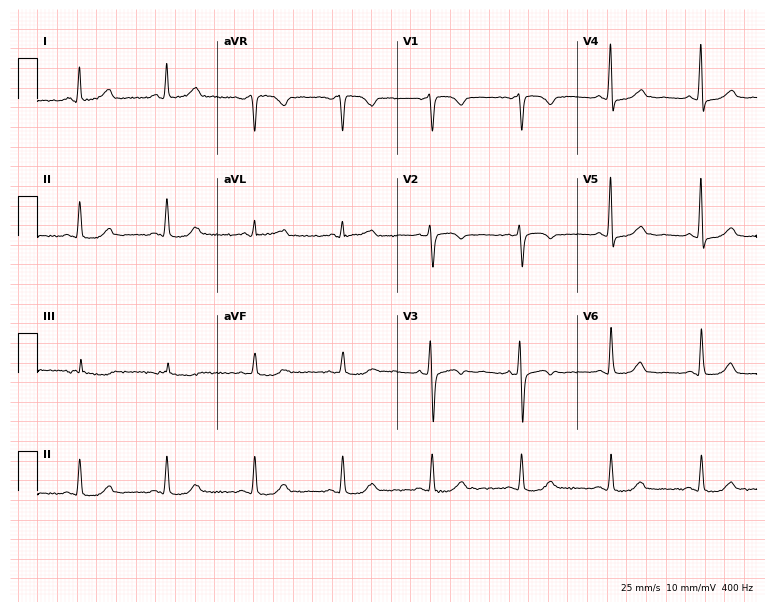
12-lead ECG (7.3-second recording at 400 Hz) from a woman, 49 years old. Screened for six findings — first-degree AV block, right bundle branch block, left bundle branch block, sinus bradycardia, atrial fibrillation, sinus tachycardia — none is recorded. Findings outside these six are not listed.